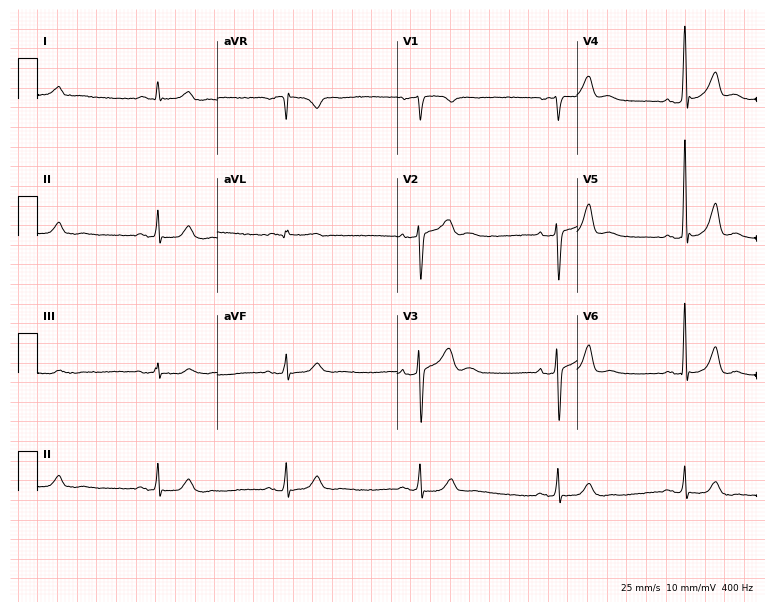
Resting 12-lead electrocardiogram (7.3-second recording at 400 Hz). Patient: a 58-year-old male. None of these six findings is recorded: first-degree AV block, right bundle branch block (RBBB), left bundle branch block (LBBB), sinus bradycardia, atrial fibrillation (AF), sinus tachycardia. Findings outside these six are not listed.